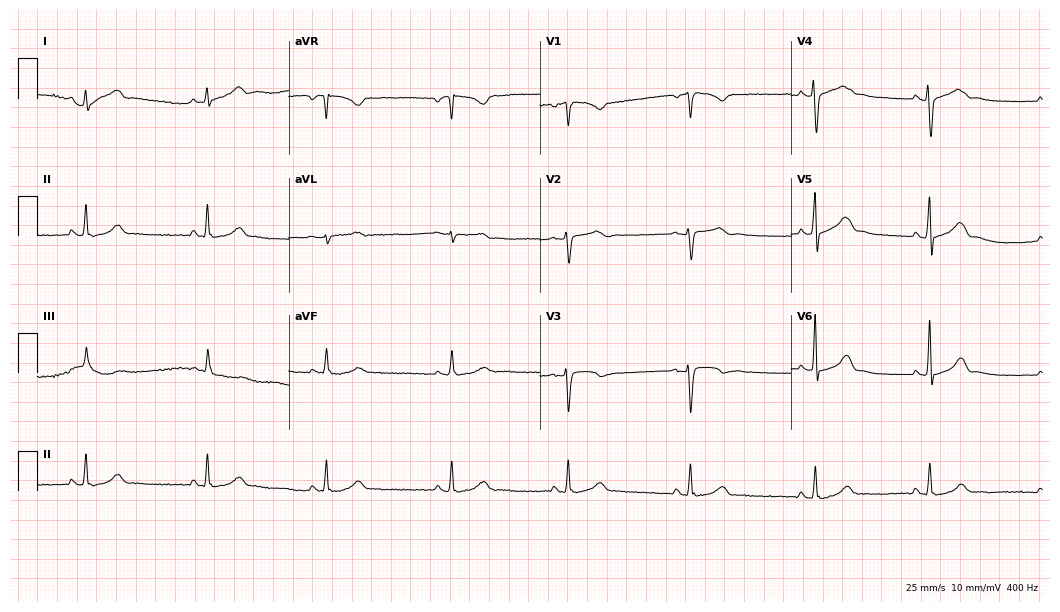
ECG (10.2-second recording at 400 Hz) — a 30-year-old female. Screened for six findings — first-degree AV block, right bundle branch block, left bundle branch block, sinus bradycardia, atrial fibrillation, sinus tachycardia — none is recorded.